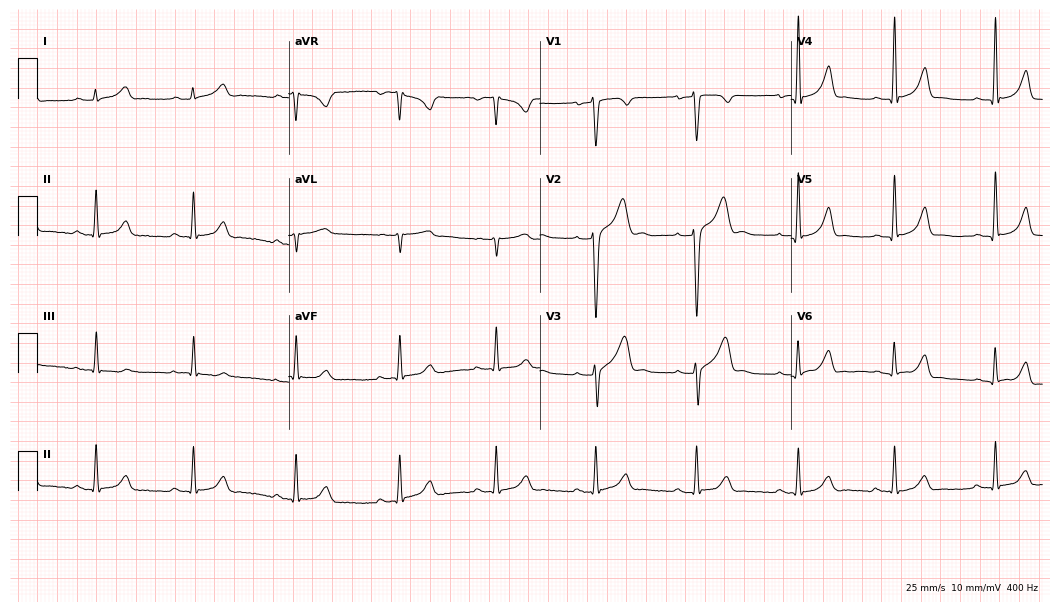
12-lead ECG from a 26-year-old male (10.2-second recording at 400 Hz). Recorded interpretation: within normal limits.